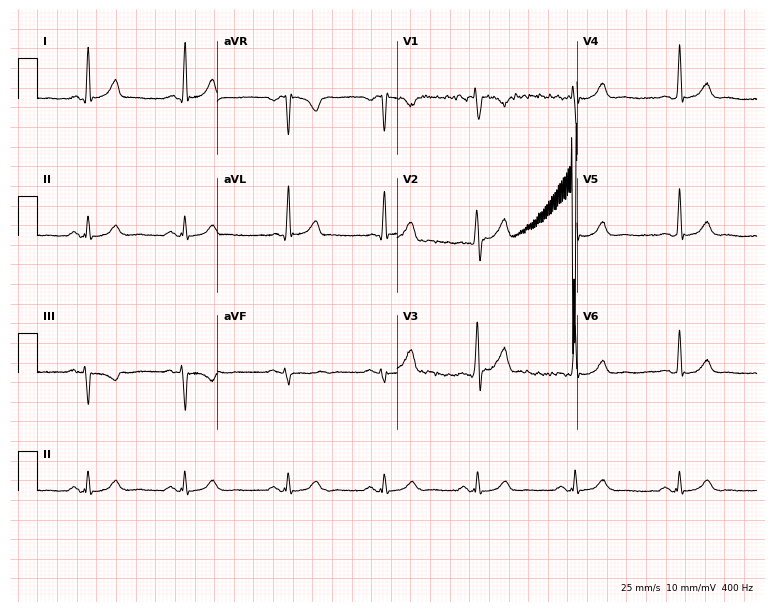
12-lead ECG from a 43-year-old man. No first-degree AV block, right bundle branch block (RBBB), left bundle branch block (LBBB), sinus bradycardia, atrial fibrillation (AF) or sinus tachycardia recorded for this tracing.